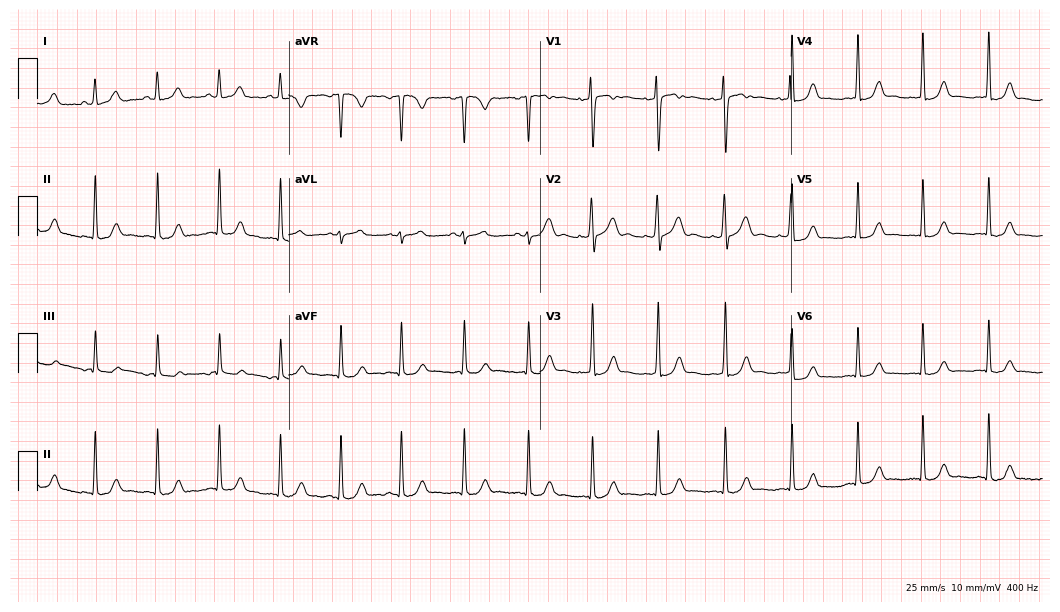
Resting 12-lead electrocardiogram. Patient: a woman, 25 years old. None of these six findings is recorded: first-degree AV block, right bundle branch block, left bundle branch block, sinus bradycardia, atrial fibrillation, sinus tachycardia.